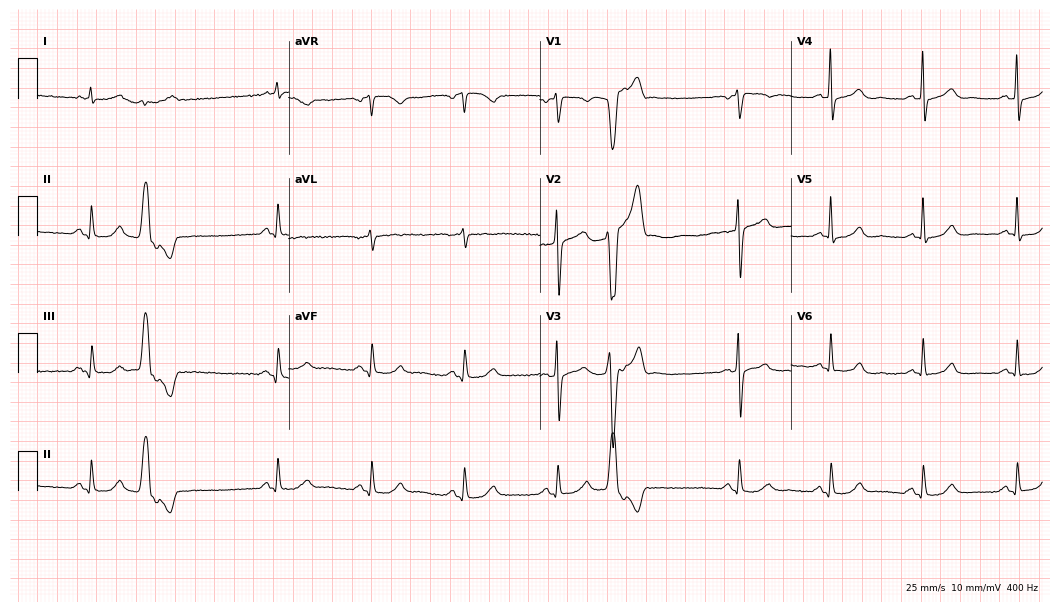
12-lead ECG from a man, 65 years old. Screened for six findings — first-degree AV block, right bundle branch block (RBBB), left bundle branch block (LBBB), sinus bradycardia, atrial fibrillation (AF), sinus tachycardia — none is recorded.